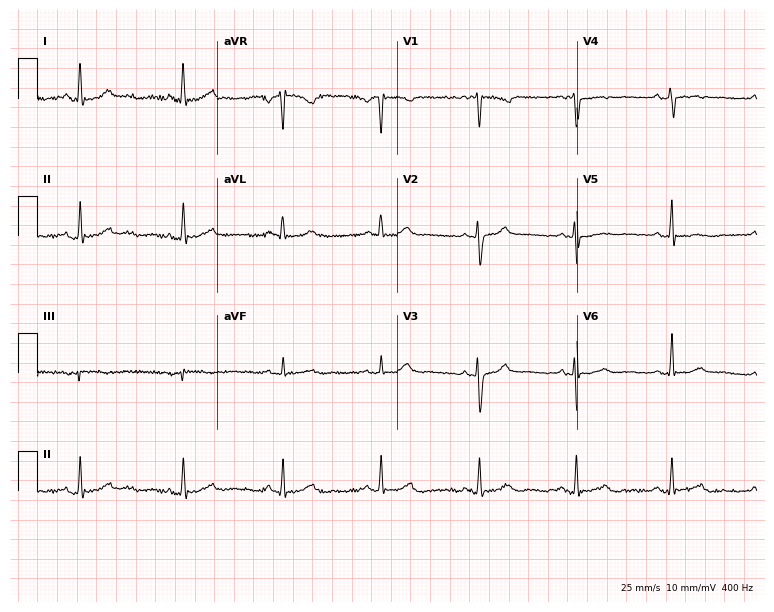
Electrocardiogram, a female, 30 years old. Overall reading on record: normal ECG.